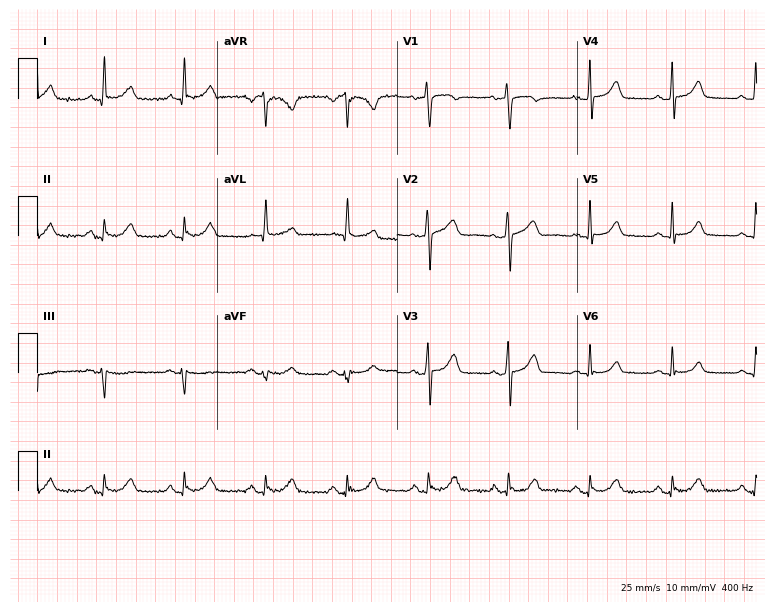
Resting 12-lead electrocardiogram. Patient: a 76-year-old woman. Read as a normal ECG.